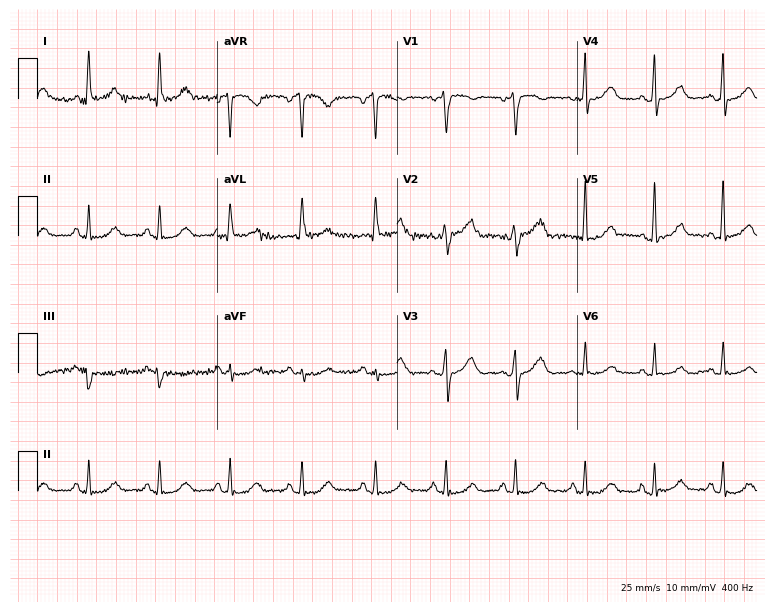
12-lead ECG (7.3-second recording at 400 Hz) from a female, 56 years old. Screened for six findings — first-degree AV block, right bundle branch block, left bundle branch block, sinus bradycardia, atrial fibrillation, sinus tachycardia — none is recorded. Other findings, if any, are not listed.